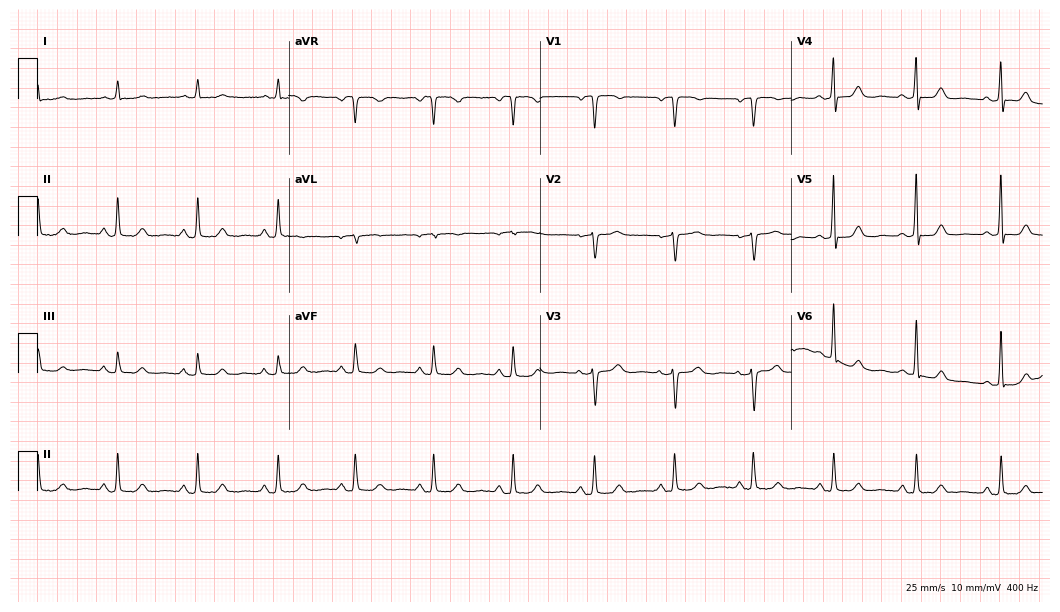
12-lead ECG from an 82-year-old female. Recorded interpretation: within normal limits.